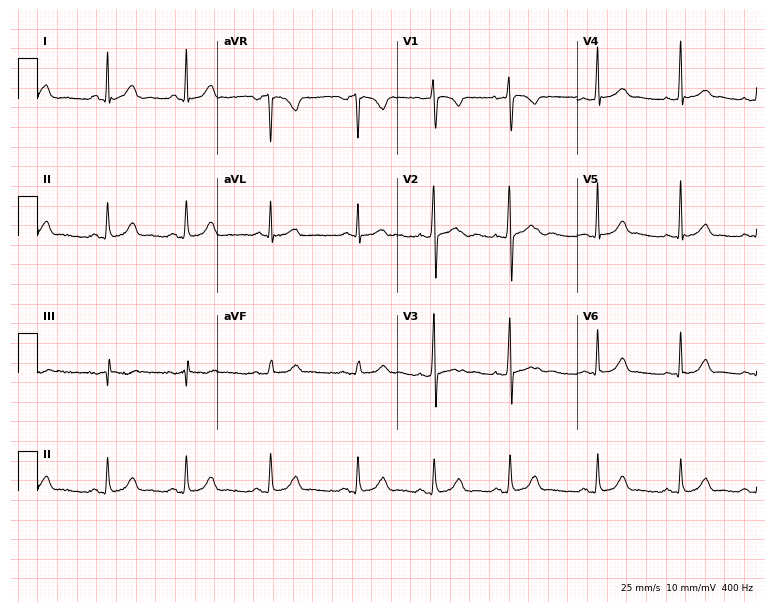
12-lead ECG from an 18-year-old female patient. Recorded interpretation: within normal limits.